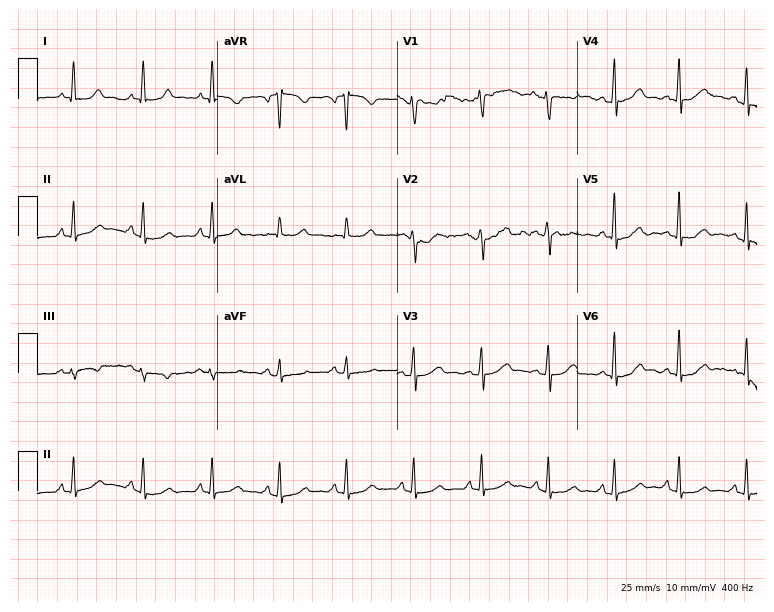
12-lead ECG from a 24-year-old woman (7.3-second recording at 400 Hz). Recorded interpretation: within normal limits.